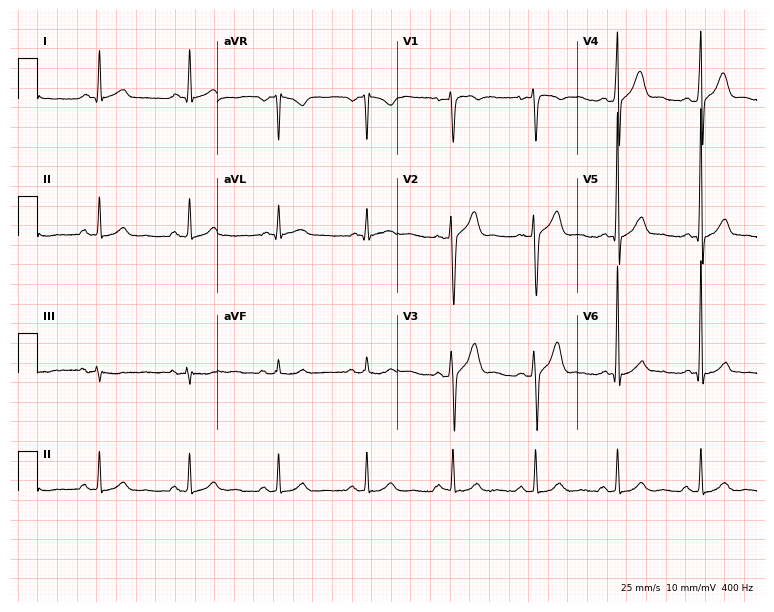
12-lead ECG from a male patient, 46 years old. Recorded interpretation: within normal limits.